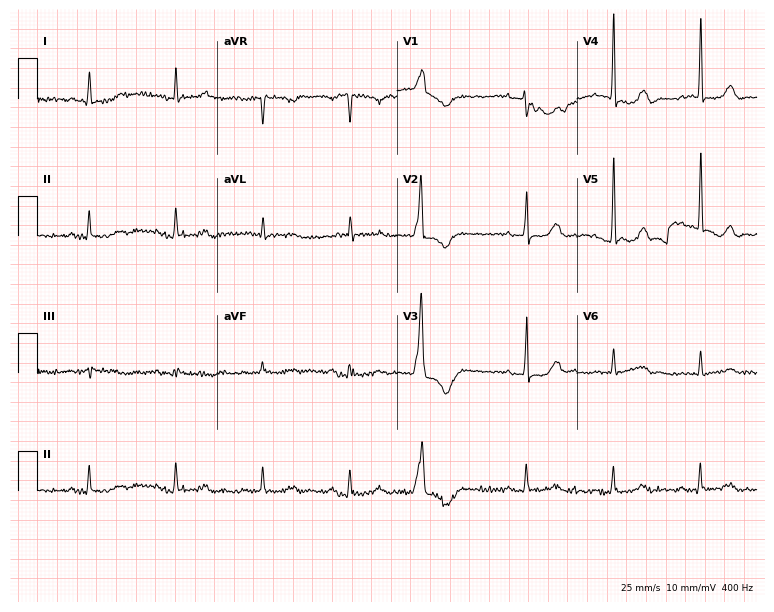
Standard 12-lead ECG recorded from a male patient, 72 years old. None of these six findings is recorded: first-degree AV block, right bundle branch block, left bundle branch block, sinus bradycardia, atrial fibrillation, sinus tachycardia. Other findings, if any, are not listed.